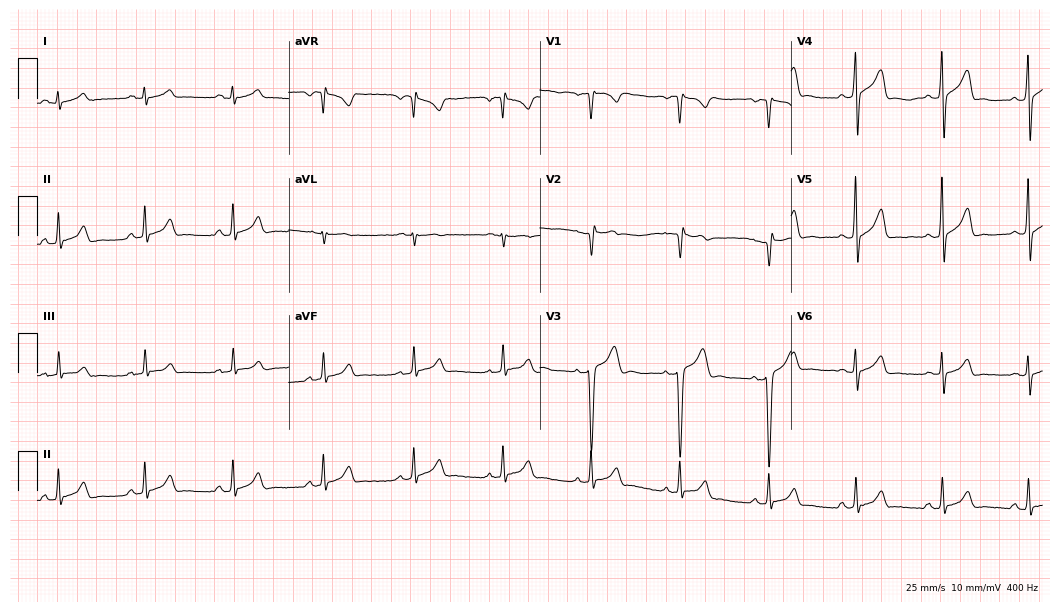
12-lead ECG from a 36-year-old male patient (10.2-second recording at 400 Hz). No first-degree AV block, right bundle branch block, left bundle branch block, sinus bradycardia, atrial fibrillation or sinus tachycardia recorded for this tracing.